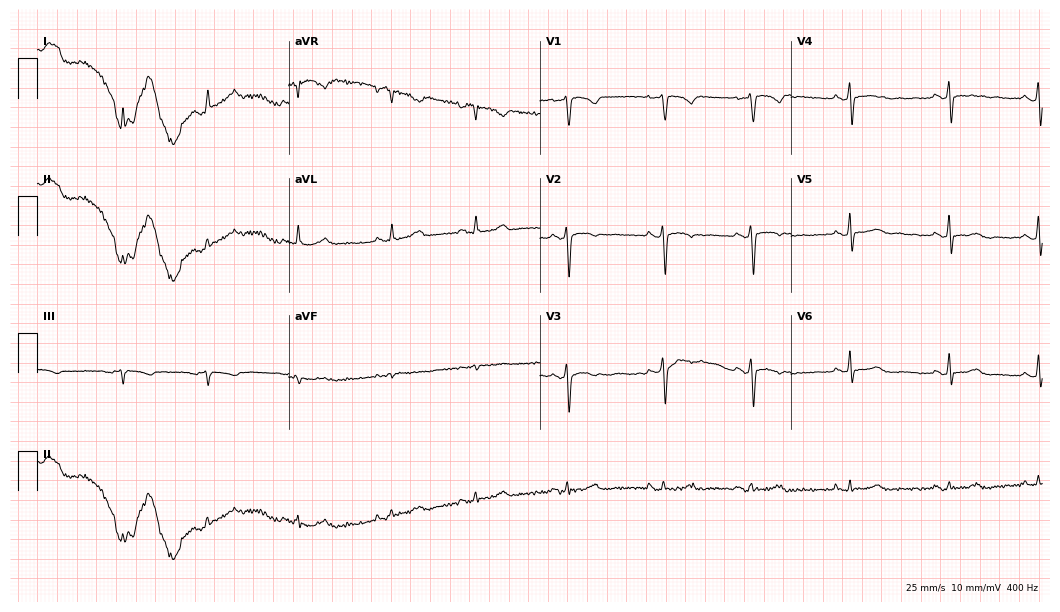
12-lead ECG from a 41-year-old female patient. Screened for six findings — first-degree AV block, right bundle branch block, left bundle branch block, sinus bradycardia, atrial fibrillation, sinus tachycardia — none is recorded.